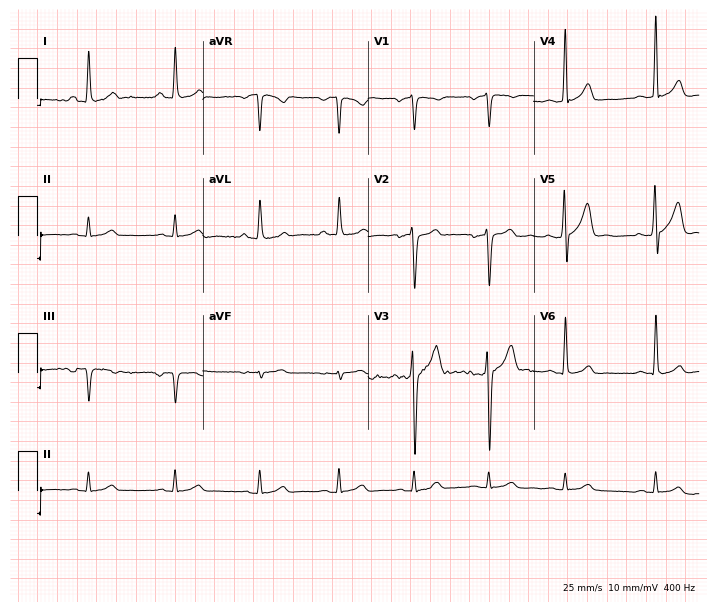
ECG — a 29-year-old man. Labelled as a normal ECG.